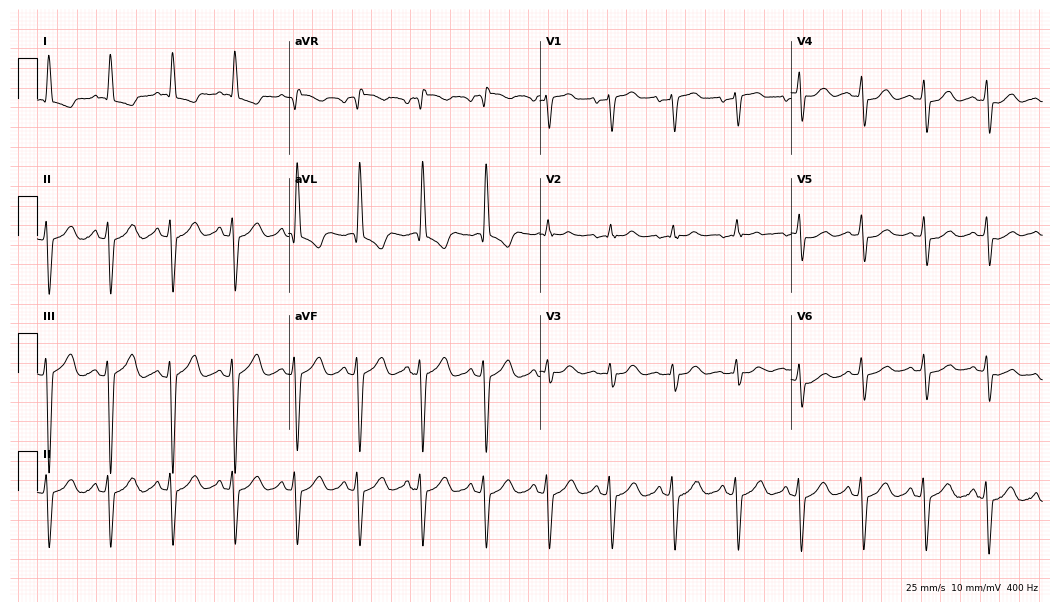
Resting 12-lead electrocardiogram (10.2-second recording at 400 Hz). Patient: a female, 74 years old. None of these six findings is recorded: first-degree AV block, right bundle branch block, left bundle branch block, sinus bradycardia, atrial fibrillation, sinus tachycardia. Other findings, if any, are not listed.